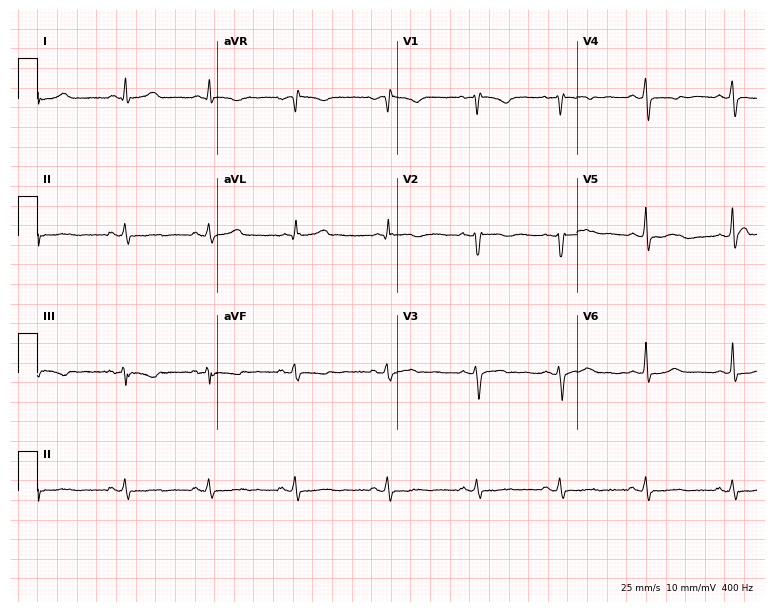
12-lead ECG from a 45-year-old female patient. No first-degree AV block, right bundle branch block, left bundle branch block, sinus bradycardia, atrial fibrillation or sinus tachycardia recorded for this tracing. Other findings, if any, are not listed.